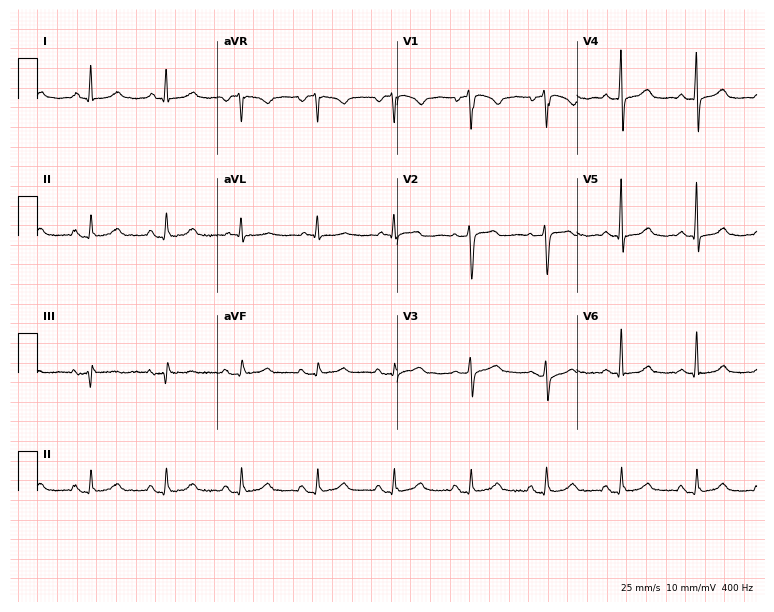
ECG (7.3-second recording at 400 Hz) — a male patient, 80 years old. Screened for six findings — first-degree AV block, right bundle branch block, left bundle branch block, sinus bradycardia, atrial fibrillation, sinus tachycardia — none is recorded.